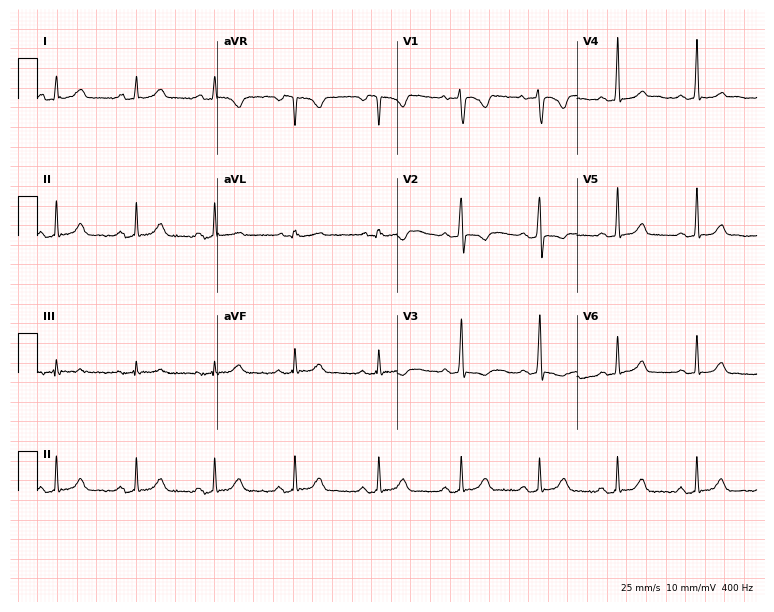
12-lead ECG from a 24-year-old female patient (7.3-second recording at 400 Hz). No first-degree AV block, right bundle branch block, left bundle branch block, sinus bradycardia, atrial fibrillation or sinus tachycardia recorded for this tracing. Only these six findings were labelled.